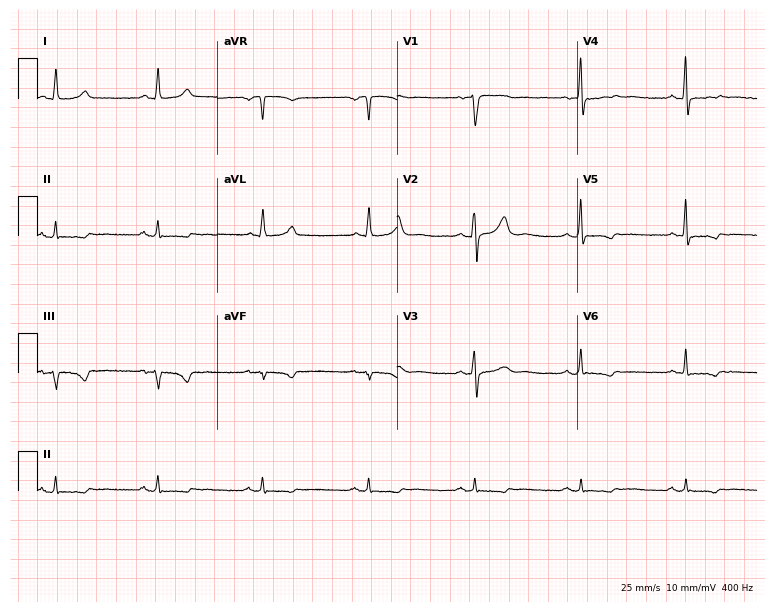
Standard 12-lead ECG recorded from a man, 63 years old (7.3-second recording at 400 Hz). None of these six findings is recorded: first-degree AV block, right bundle branch block, left bundle branch block, sinus bradycardia, atrial fibrillation, sinus tachycardia.